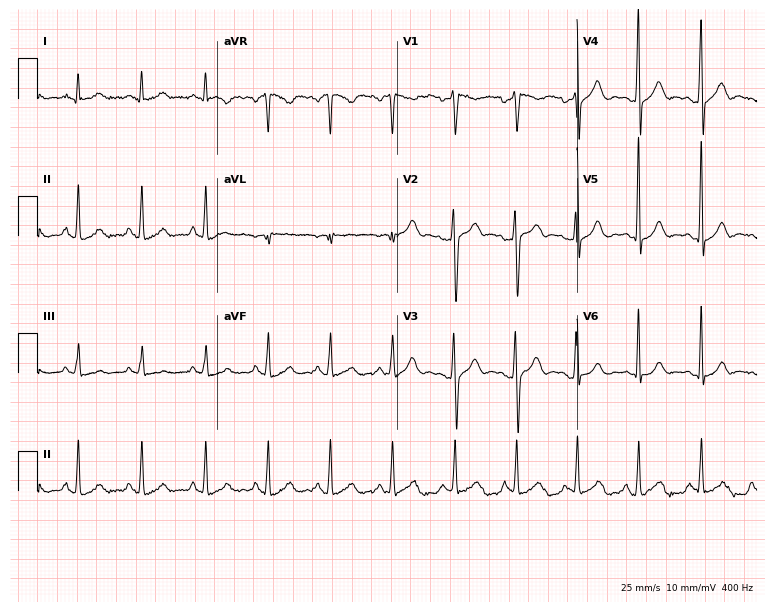
Resting 12-lead electrocardiogram (7.3-second recording at 400 Hz). Patient: a 48-year-old male. Read as a normal ECG.